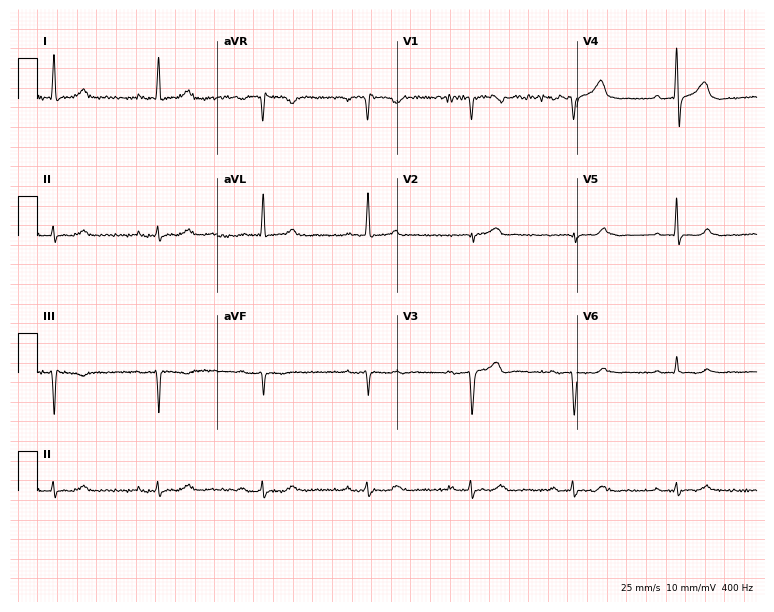
Resting 12-lead electrocardiogram. Patient: a male, 77 years old. None of these six findings is recorded: first-degree AV block, right bundle branch block, left bundle branch block, sinus bradycardia, atrial fibrillation, sinus tachycardia.